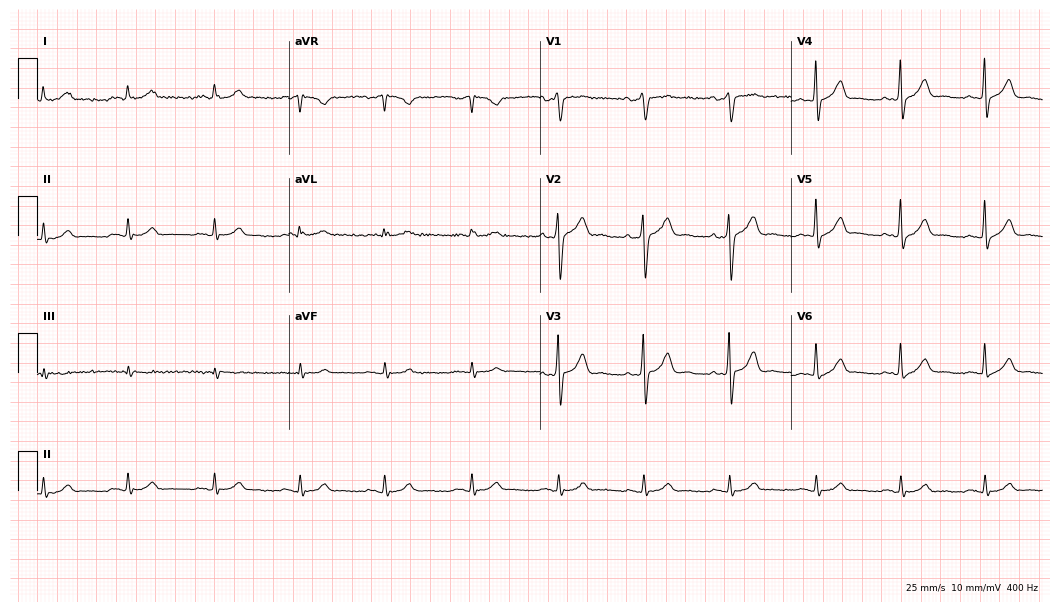
Resting 12-lead electrocardiogram (10.2-second recording at 400 Hz). Patient: a 41-year-old male. None of these six findings is recorded: first-degree AV block, right bundle branch block (RBBB), left bundle branch block (LBBB), sinus bradycardia, atrial fibrillation (AF), sinus tachycardia.